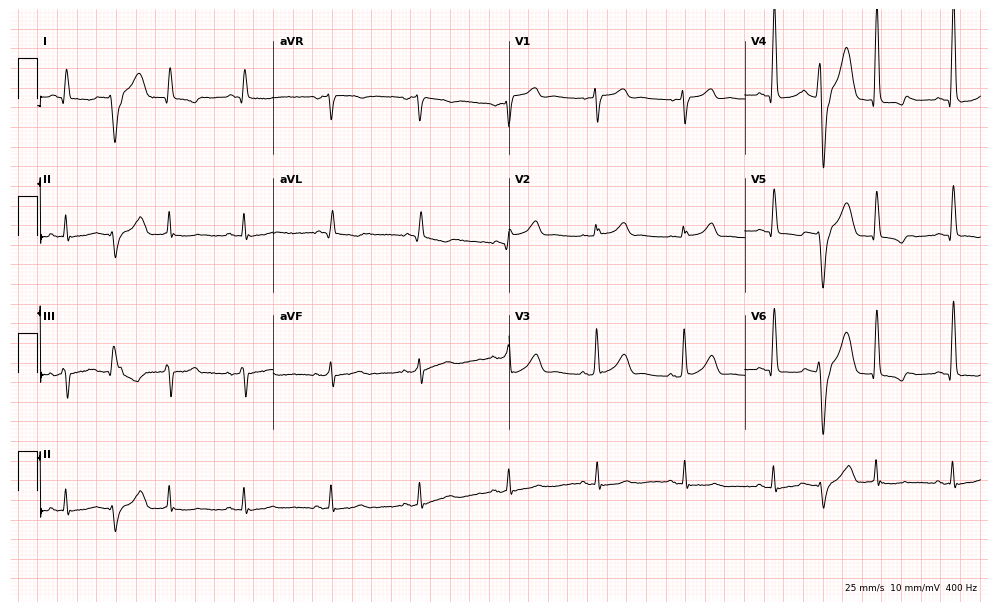
12-lead ECG (9.6-second recording at 400 Hz) from a 69-year-old male patient. Labelled as a normal ECG.